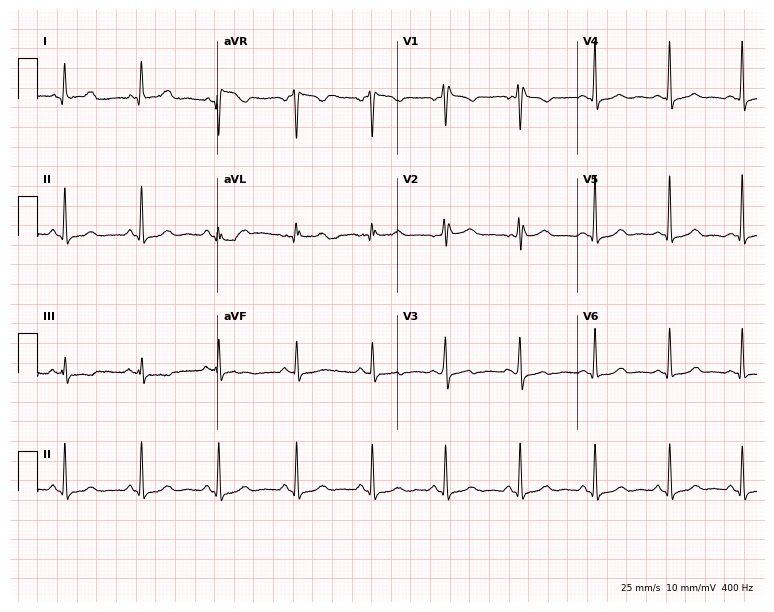
Resting 12-lead electrocardiogram. Patient: a female, 51 years old. Read as a normal ECG.